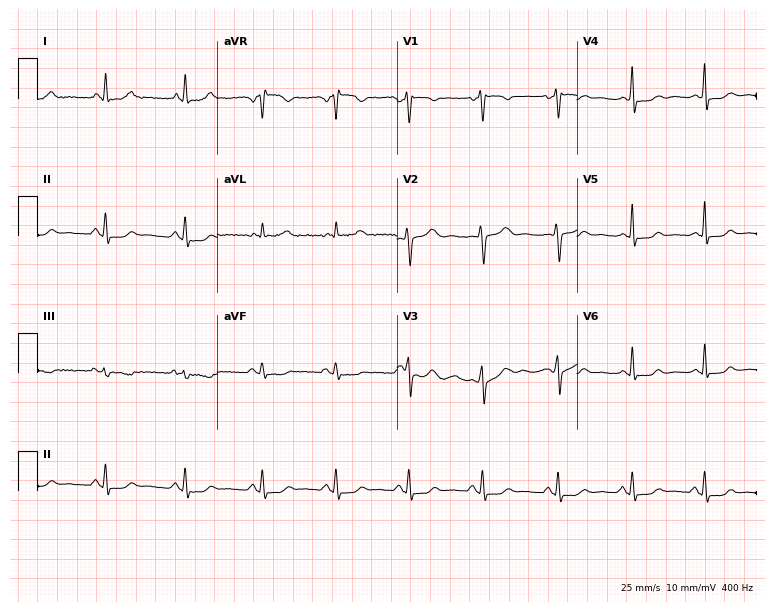
ECG (7.3-second recording at 400 Hz) — a female patient, 42 years old. Screened for six findings — first-degree AV block, right bundle branch block, left bundle branch block, sinus bradycardia, atrial fibrillation, sinus tachycardia — none is recorded. Findings outside these six are not listed.